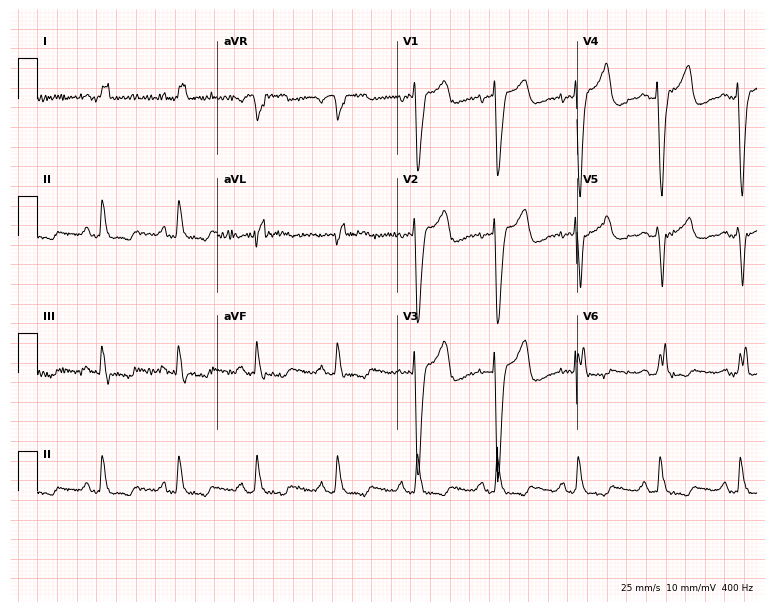
Standard 12-lead ECG recorded from a female, 79 years old. The tracing shows left bundle branch block (LBBB).